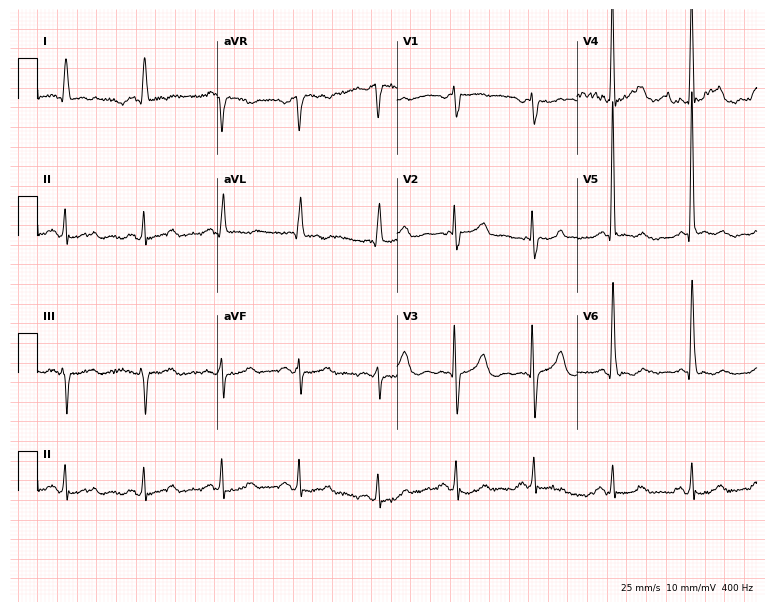
Standard 12-lead ECG recorded from a 66-year-old female. None of these six findings is recorded: first-degree AV block, right bundle branch block (RBBB), left bundle branch block (LBBB), sinus bradycardia, atrial fibrillation (AF), sinus tachycardia.